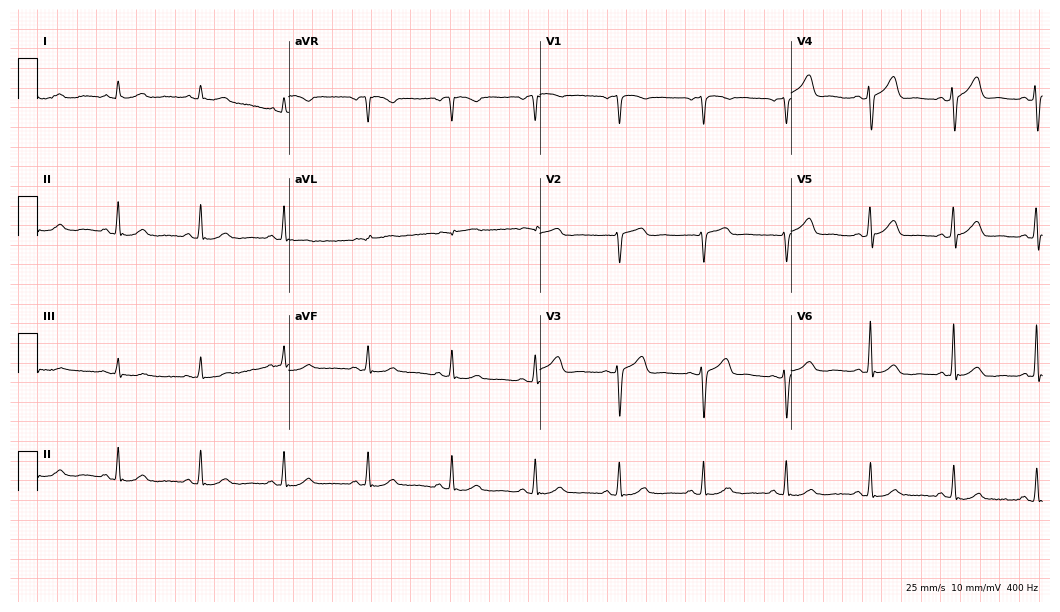
12-lead ECG (10.2-second recording at 400 Hz) from a 68-year-old man. Screened for six findings — first-degree AV block, right bundle branch block, left bundle branch block, sinus bradycardia, atrial fibrillation, sinus tachycardia — none is recorded.